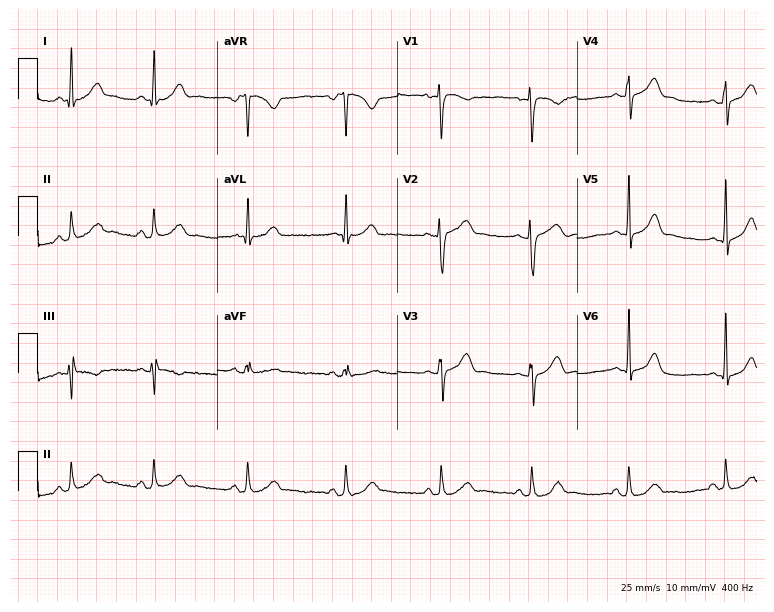
12-lead ECG from a 27-year-old female (7.3-second recording at 400 Hz). No first-degree AV block, right bundle branch block (RBBB), left bundle branch block (LBBB), sinus bradycardia, atrial fibrillation (AF) or sinus tachycardia recorded for this tracing.